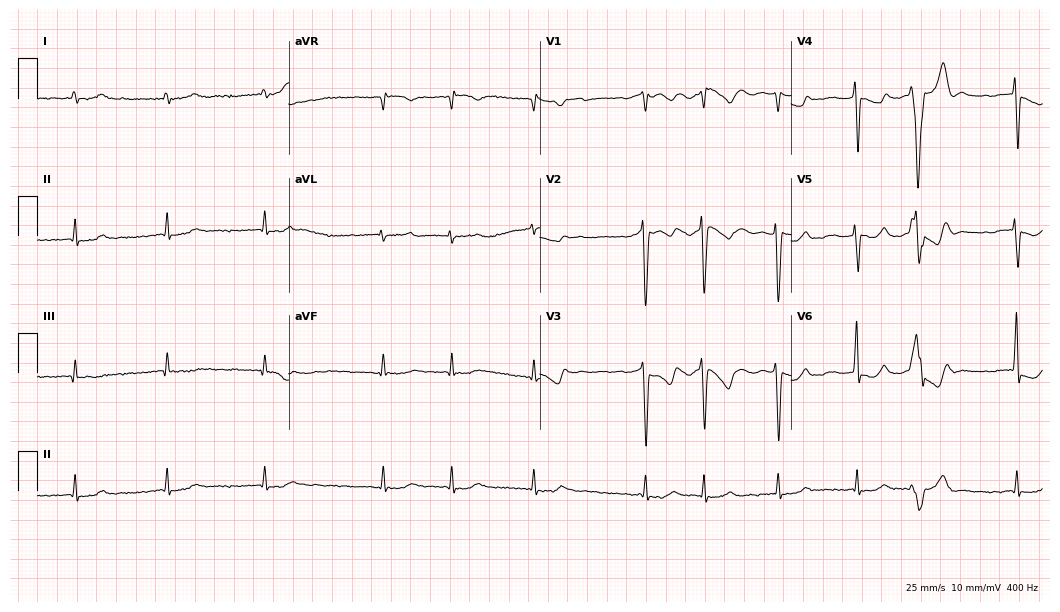
ECG (10.2-second recording at 400 Hz) — a female patient, 67 years old. Findings include atrial fibrillation.